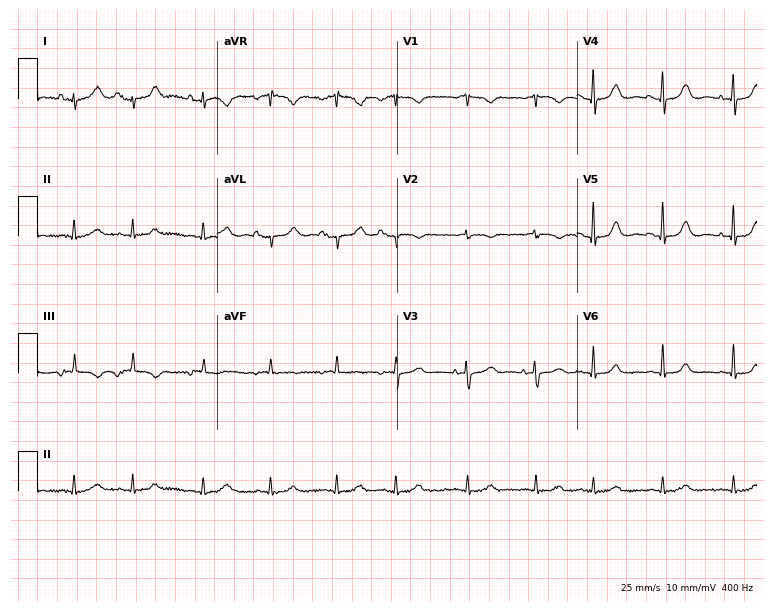
12-lead ECG from a woman, 82 years old. No first-degree AV block, right bundle branch block (RBBB), left bundle branch block (LBBB), sinus bradycardia, atrial fibrillation (AF) or sinus tachycardia recorded for this tracing.